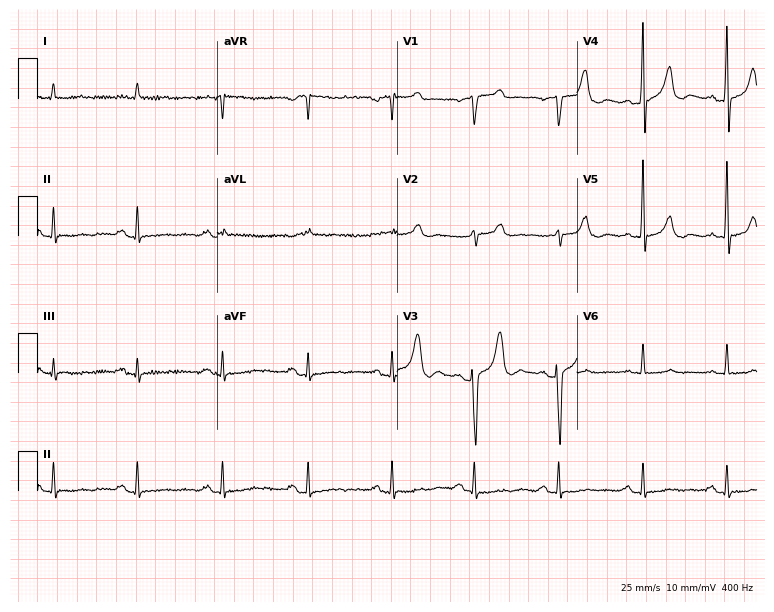
ECG (7.3-second recording at 400 Hz) — a male patient, 76 years old. Screened for six findings — first-degree AV block, right bundle branch block, left bundle branch block, sinus bradycardia, atrial fibrillation, sinus tachycardia — none is recorded.